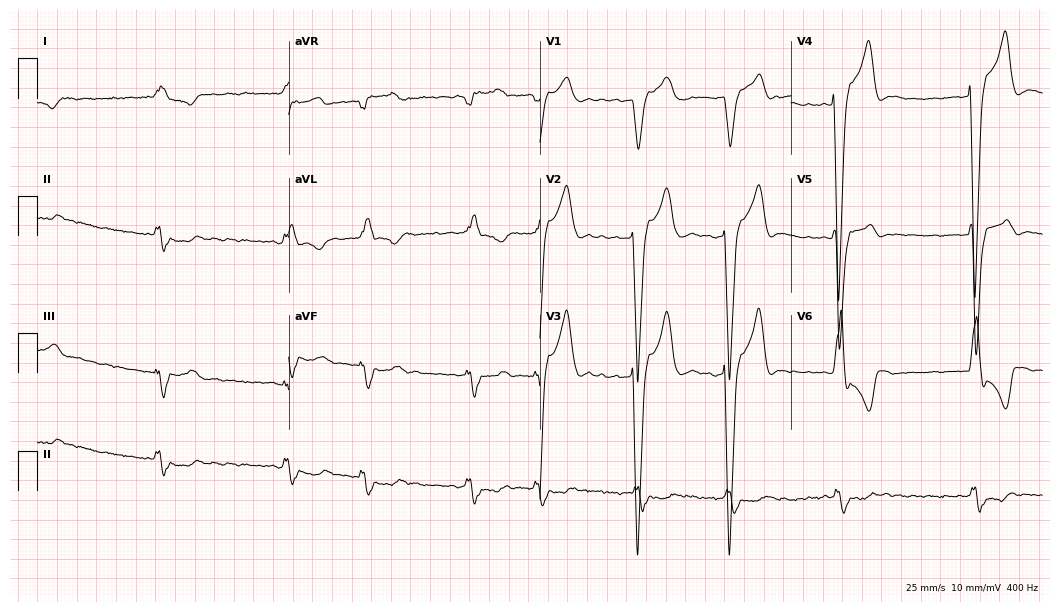
12-lead ECG from an 84-year-old male. Findings include left bundle branch block, atrial fibrillation.